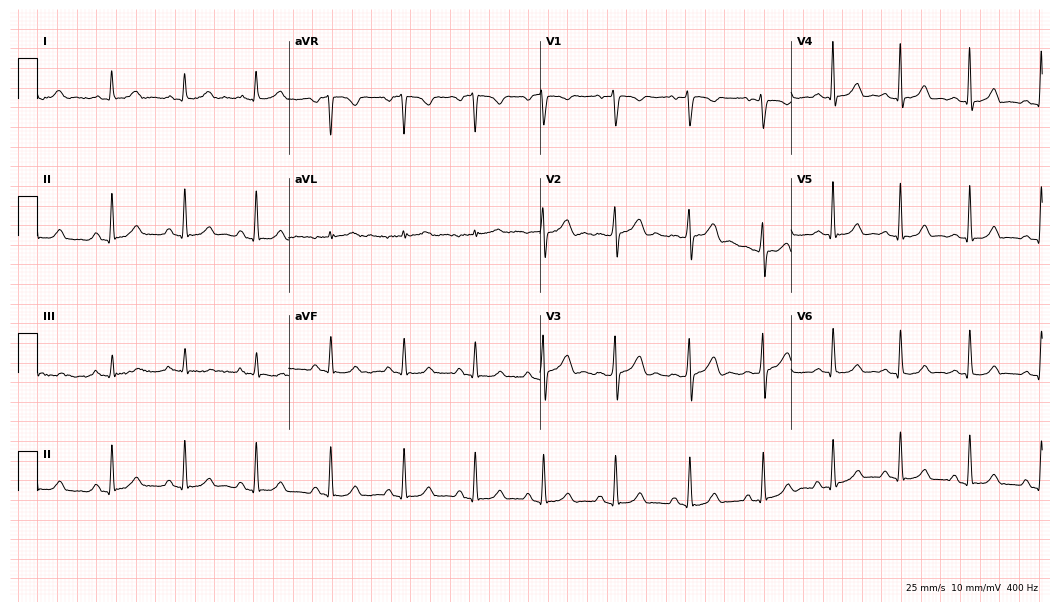
12-lead ECG from a 33-year-old female (10.2-second recording at 400 Hz). Recorded interpretation: within normal limits.